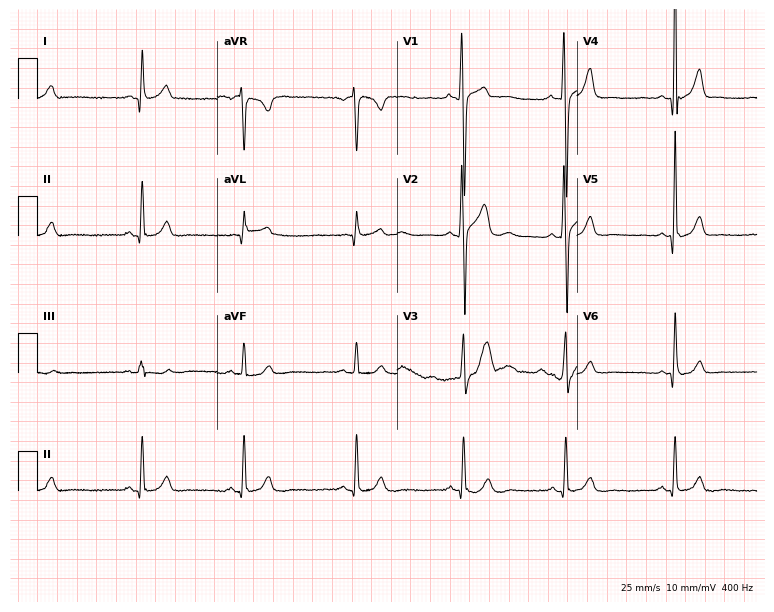
Standard 12-lead ECG recorded from a 23-year-old man (7.3-second recording at 400 Hz). Read as a normal ECG.